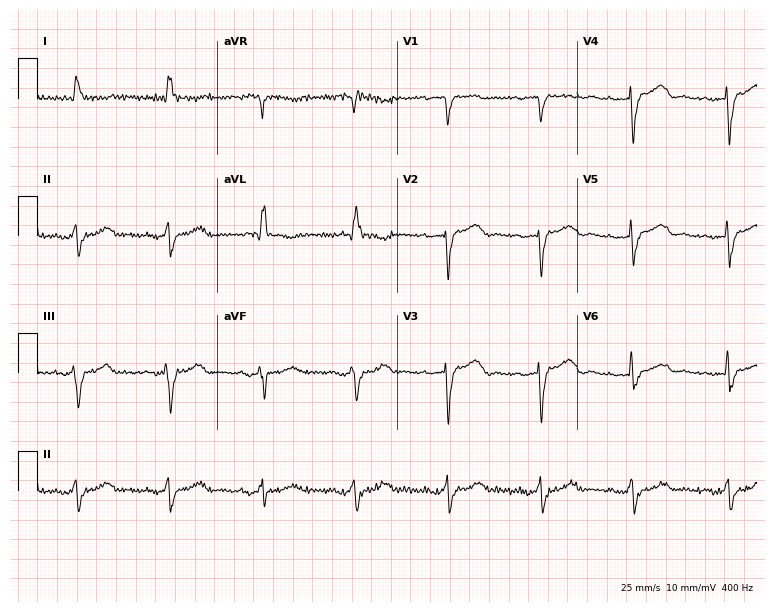
12-lead ECG from a female, 77 years old (7.3-second recording at 400 Hz). Shows first-degree AV block, left bundle branch block.